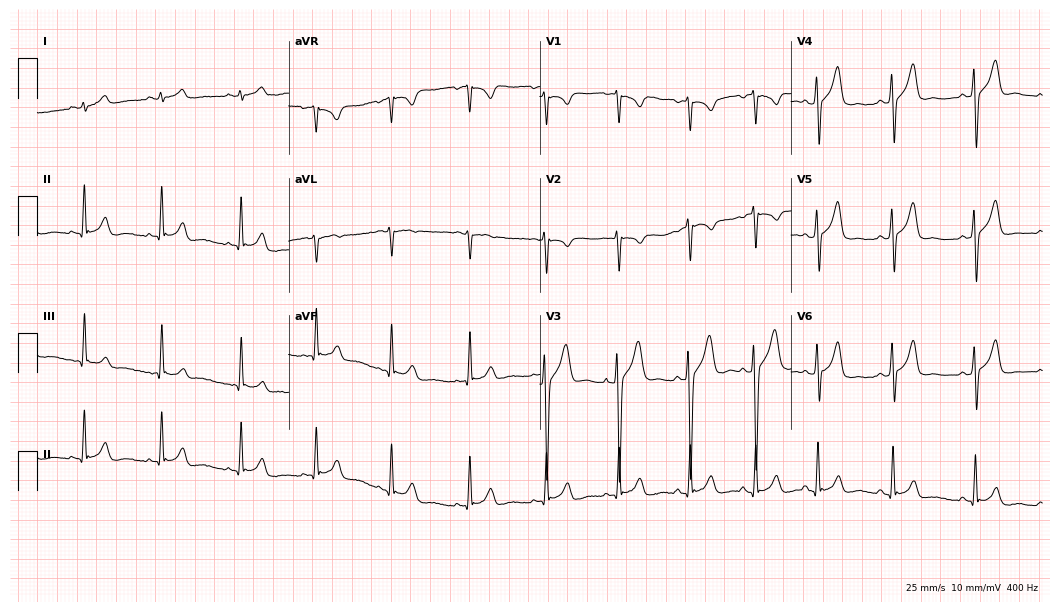
Resting 12-lead electrocardiogram (10.2-second recording at 400 Hz). Patient: a 22-year-old male. None of these six findings is recorded: first-degree AV block, right bundle branch block (RBBB), left bundle branch block (LBBB), sinus bradycardia, atrial fibrillation (AF), sinus tachycardia. Other findings, if any, are not listed.